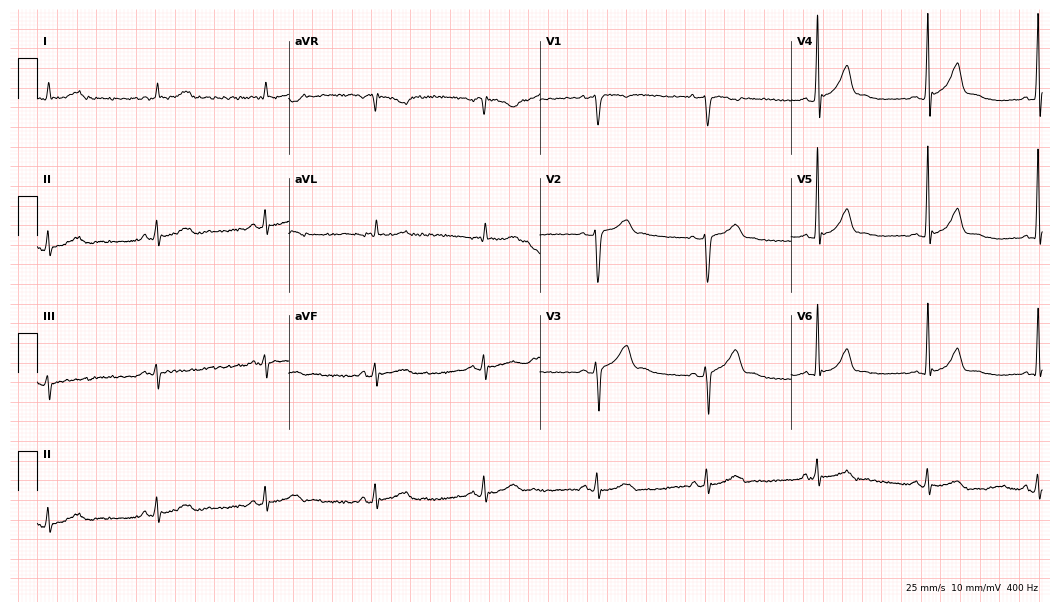
ECG (10.2-second recording at 400 Hz) — a male, 43 years old. Labelled as a normal ECG.